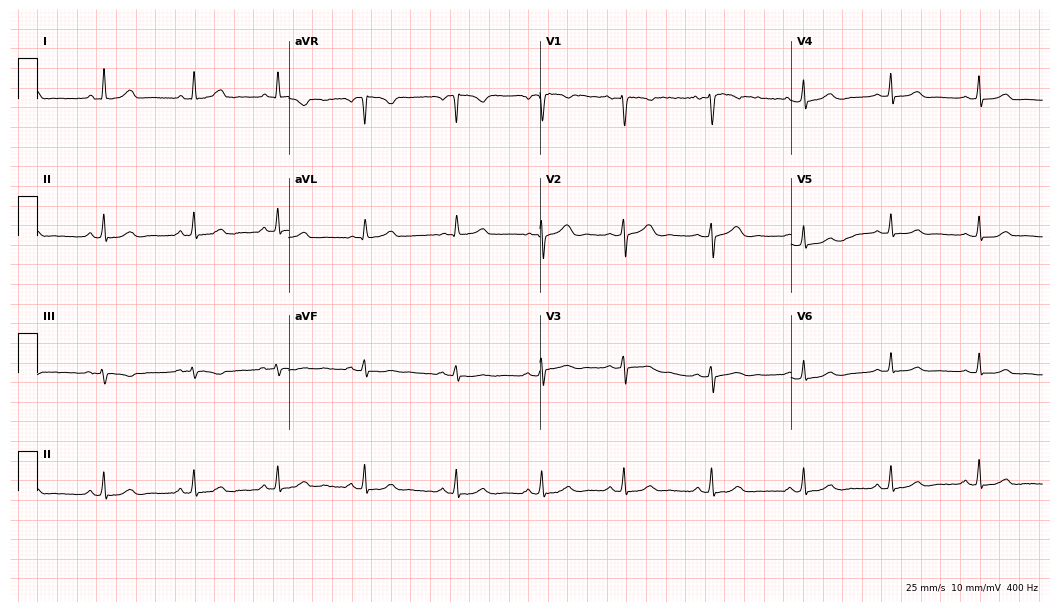
Standard 12-lead ECG recorded from a female, 31 years old. Read as a normal ECG.